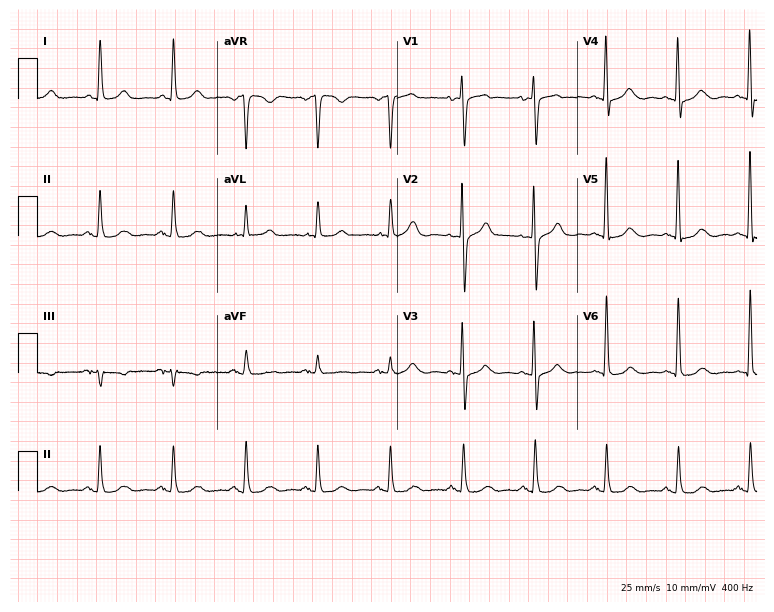
12-lead ECG (7.3-second recording at 400 Hz) from a 77-year-old female patient. Labelled as a normal ECG.